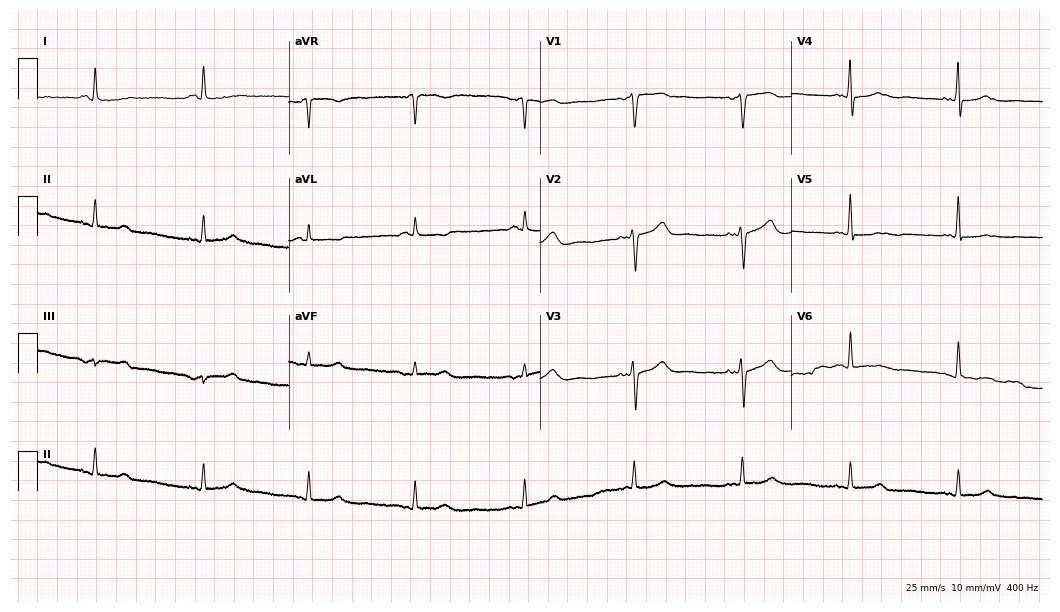
Electrocardiogram (10.2-second recording at 400 Hz), a woman, 66 years old. Of the six screened findings (first-degree AV block, right bundle branch block, left bundle branch block, sinus bradycardia, atrial fibrillation, sinus tachycardia), none is recorded.